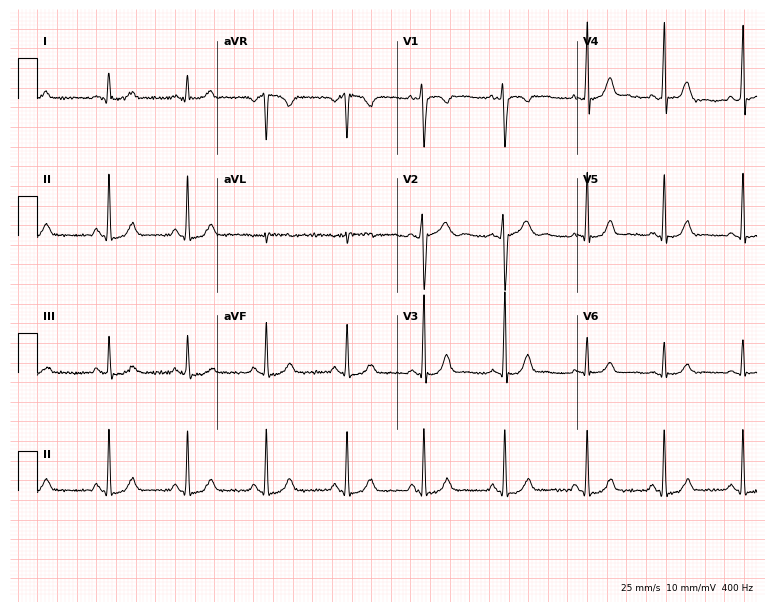
ECG (7.3-second recording at 400 Hz) — a female patient, 20 years old. Screened for six findings — first-degree AV block, right bundle branch block, left bundle branch block, sinus bradycardia, atrial fibrillation, sinus tachycardia — none is recorded. Findings outside these six are not listed.